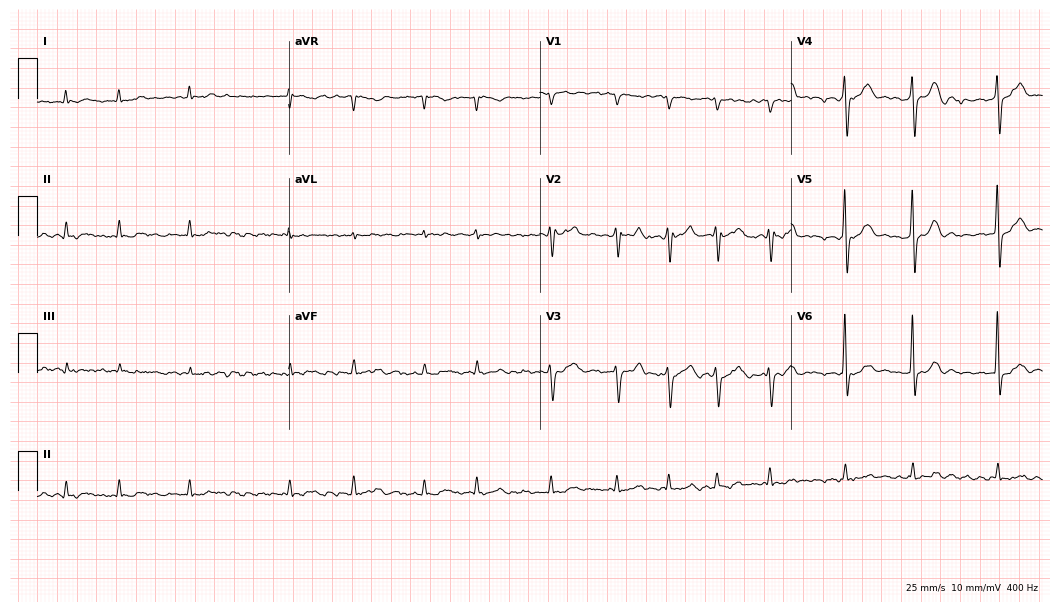
Standard 12-lead ECG recorded from a male patient, 74 years old. The tracing shows atrial fibrillation.